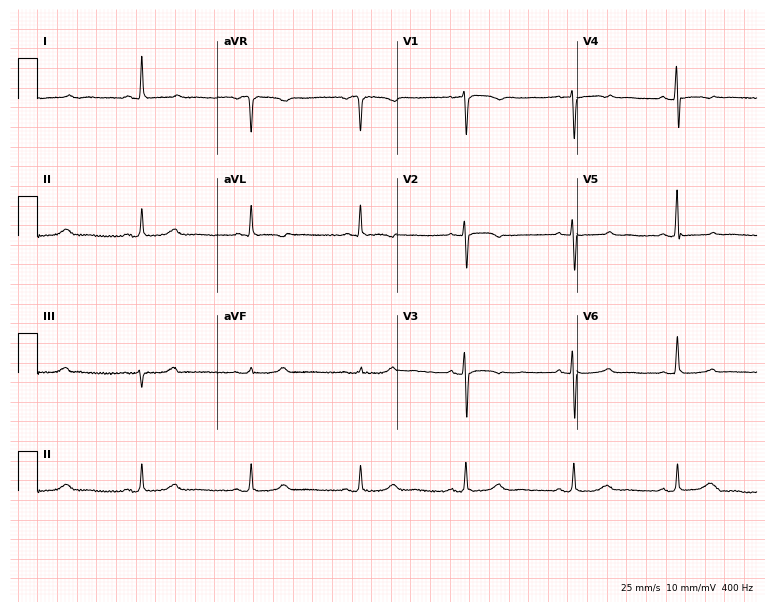
12-lead ECG from a 63-year-old female patient. Recorded interpretation: within normal limits.